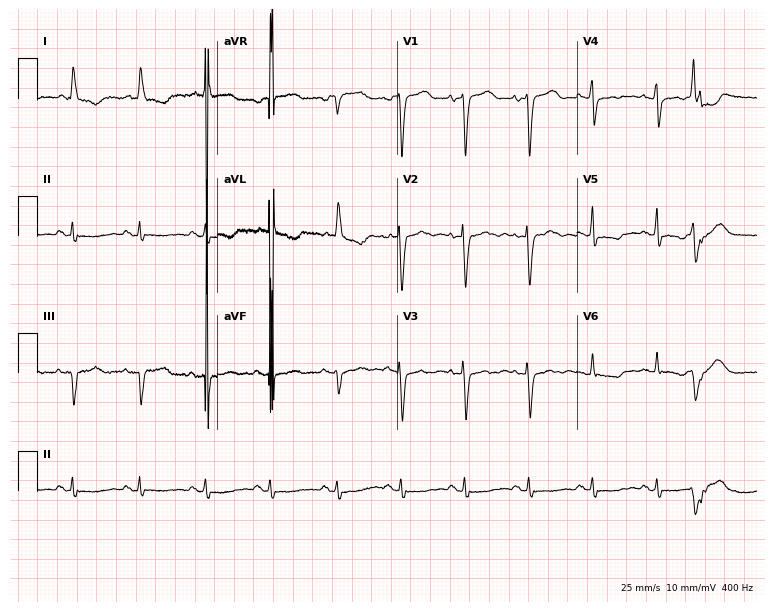
Resting 12-lead electrocardiogram. Patient: an 83-year-old female. None of these six findings is recorded: first-degree AV block, right bundle branch block (RBBB), left bundle branch block (LBBB), sinus bradycardia, atrial fibrillation (AF), sinus tachycardia.